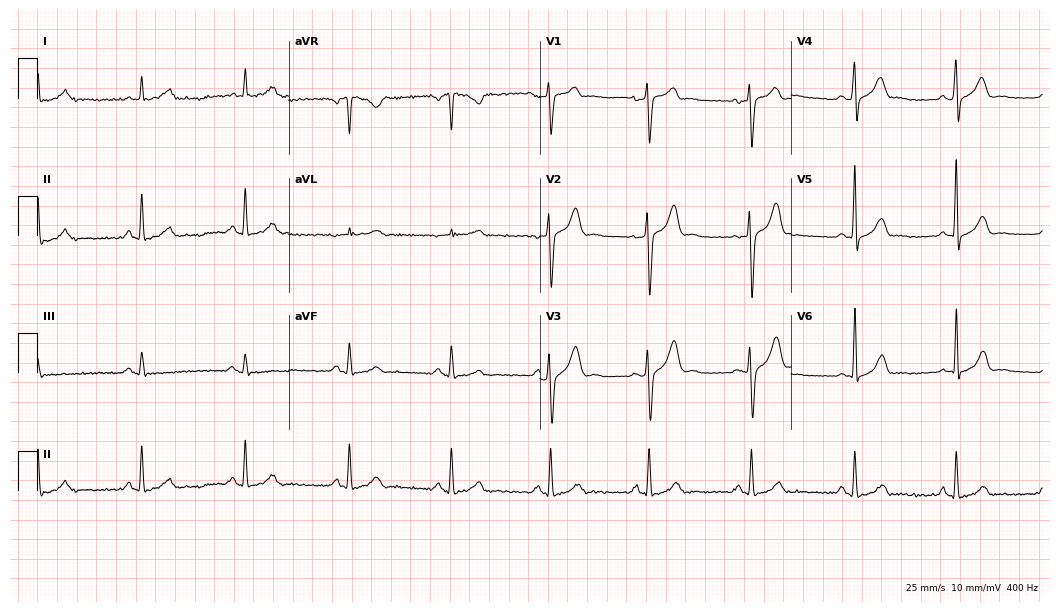
Electrocardiogram (10.2-second recording at 400 Hz), a man, 34 years old. Of the six screened findings (first-degree AV block, right bundle branch block, left bundle branch block, sinus bradycardia, atrial fibrillation, sinus tachycardia), none is recorded.